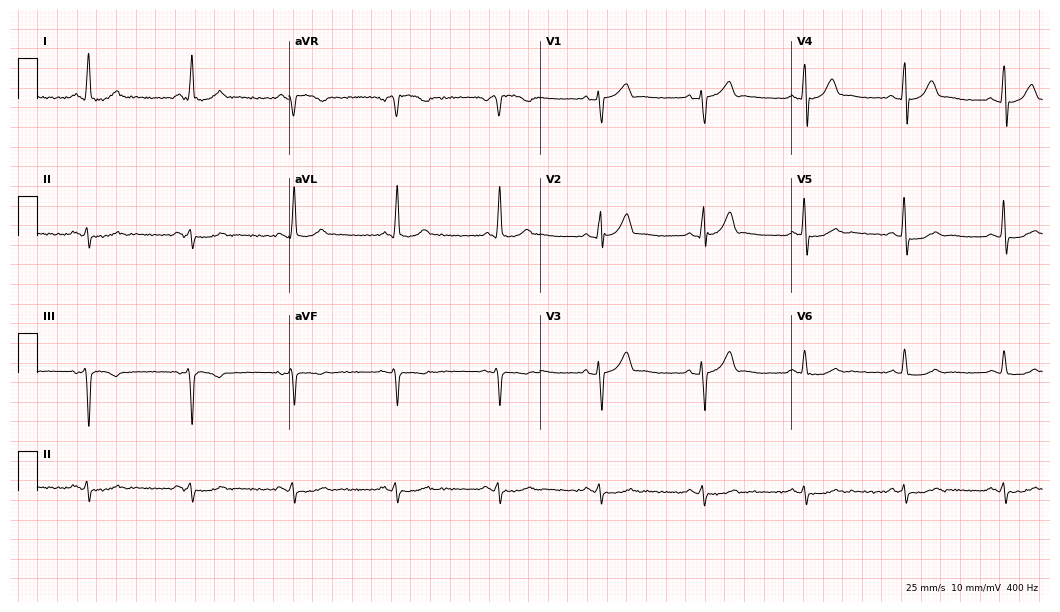
Electrocardiogram (10.2-second recording at 400 Hz), a male, 66 years old. Overall reading on record: normal ECG.